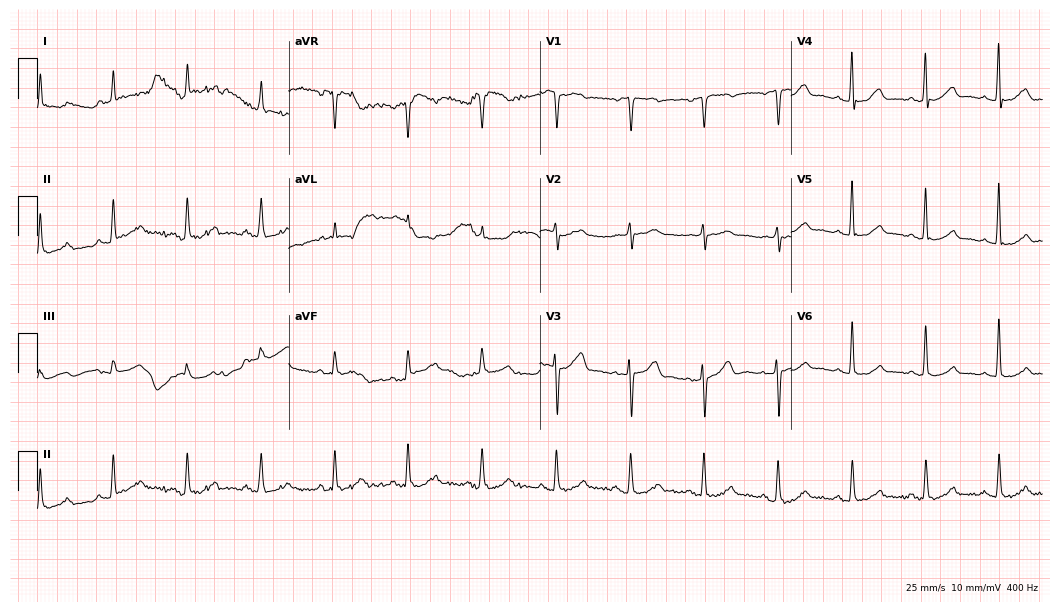
12-lead ECG (10.2-second recording at 400 Hz) from a 74-year-old woman. Screened for six findings — first-degree AV block, right bundle branch block, left bundle branch block, sinus bradycardia, atrial fibrillation, sinus tachycardia — none is recorded.